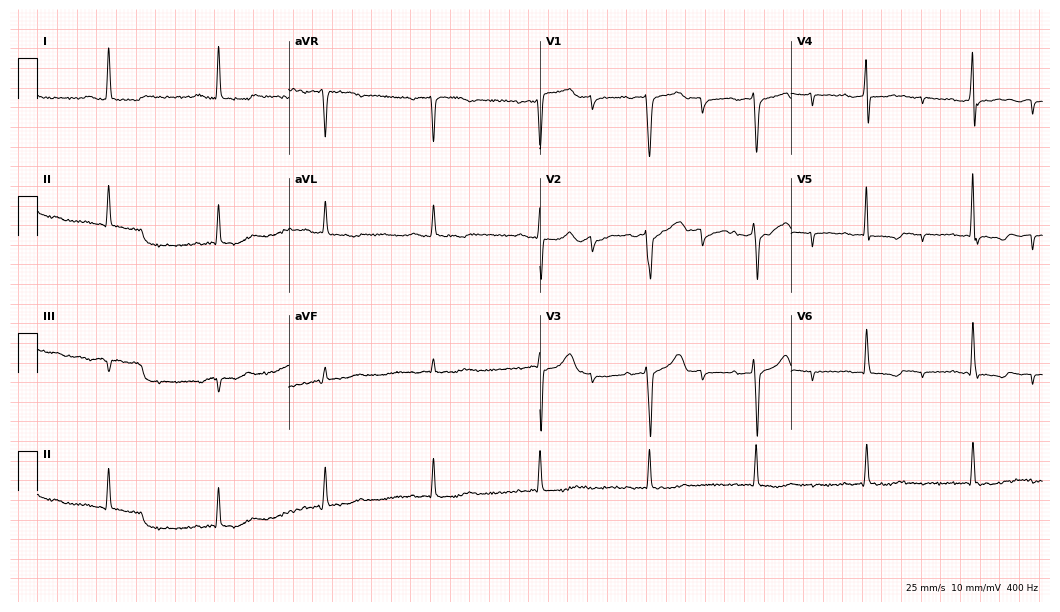
12-lead ECG from a female, 82 years old. Screened for six findings — first-degree AV block, right bundle branch block, left bundle branch block, sinus bradycardia, atrial fibrillation, sinus tachycardia — none is recorded. Findings outside these six are not listed.